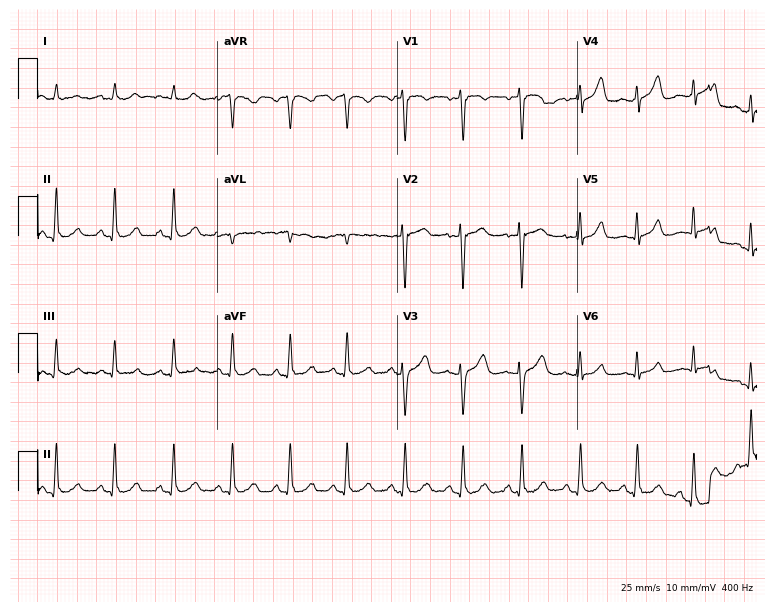
Resting 12-lead electrocardiogram. Patient: a 47-year-old male. The tracing shows sinus tachycardia (a sinus rate of 100 beats per minute or more).